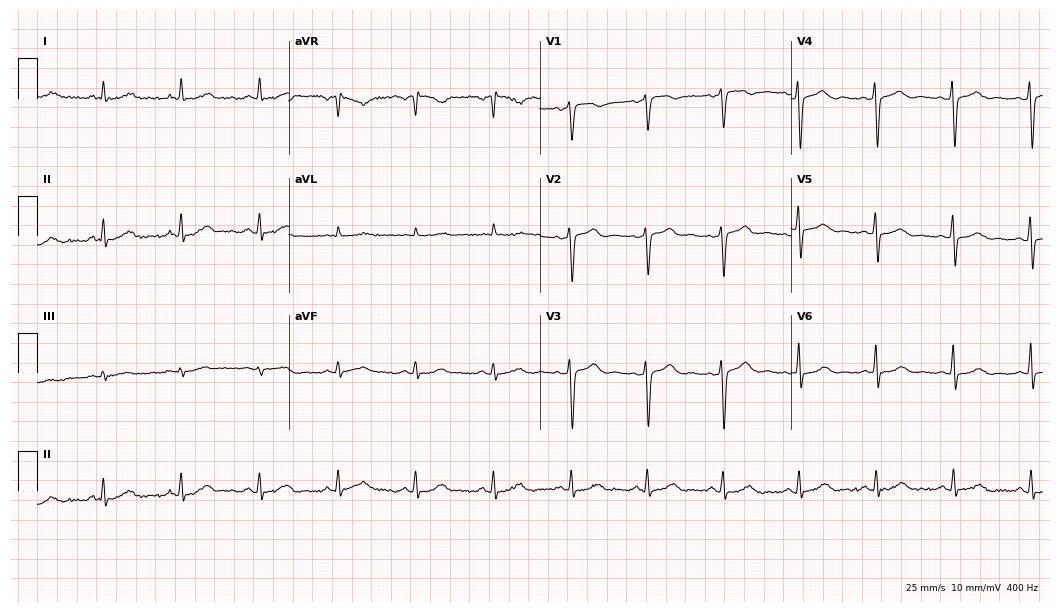
12-lead ECG from a woman, 52 years old. Labelled as a normal ECG.